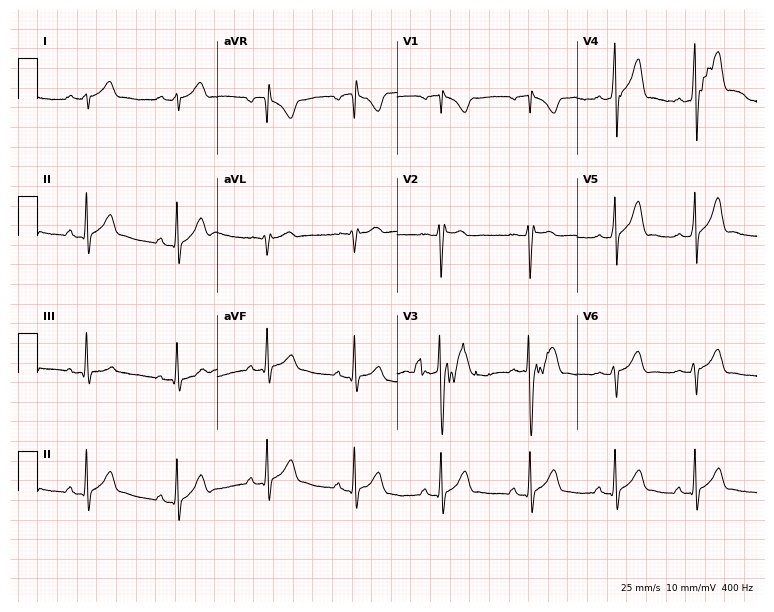
ECG (7.3-second recording at 400 Hz) — a man, 22 years old. Labelled as a normal ECG.